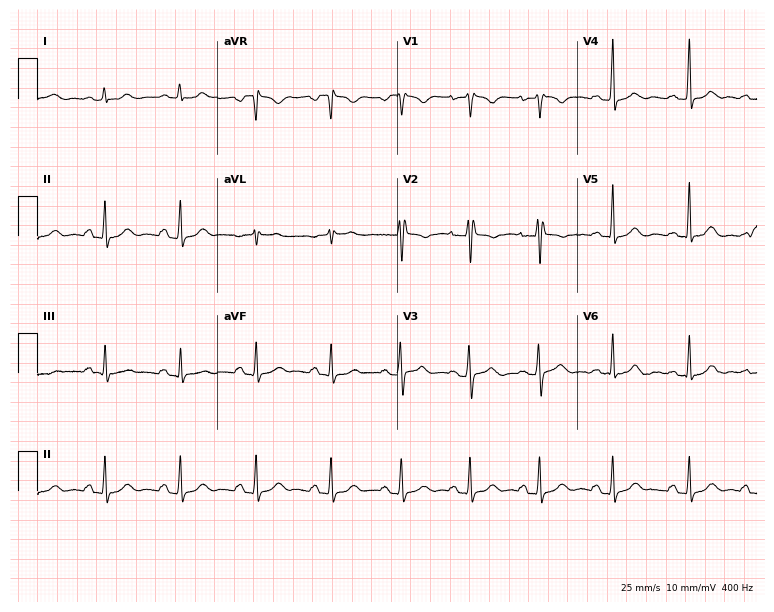
ECG — a female patient, 31 years old. Screened for six findings — first-degree AV block, right bundle branch block, left bundle branch block, sinus bradycardia, atrial fibrillation, sinus tachycardia — none is recorded.